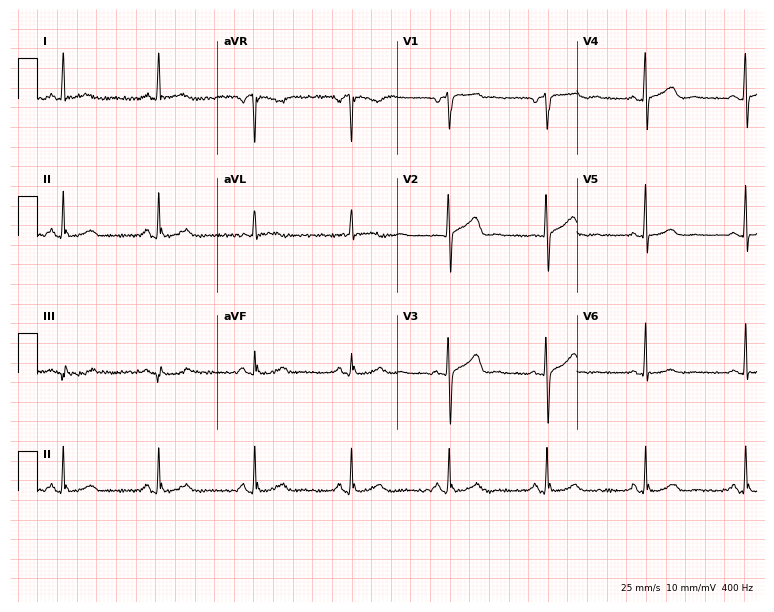
Resting 12-lead electrocardiogram (7.3-second recording at 400 Hz). Patient: a 62-year-old woman. Read as a normal ECG.